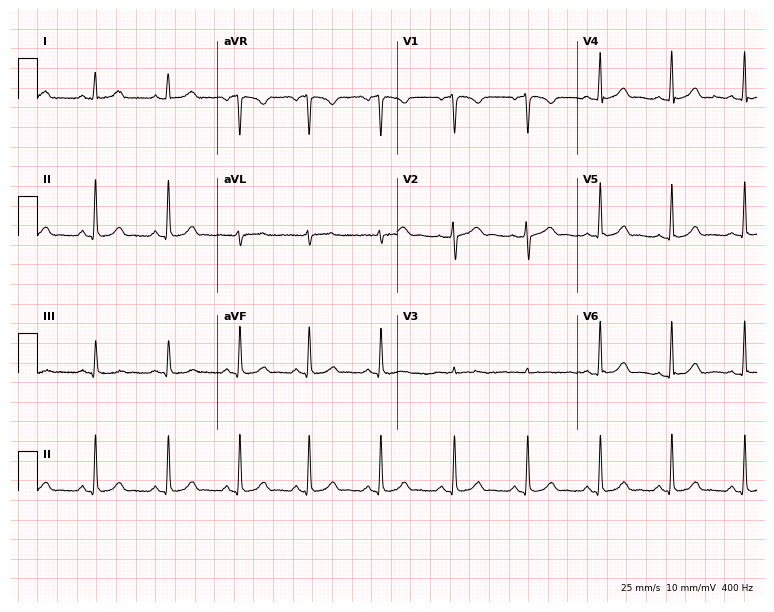
Standard 12-lead ECG recorded from a female patient, 33 years old (7.3-second recording at 400 Hz). Read as a normal ECG.